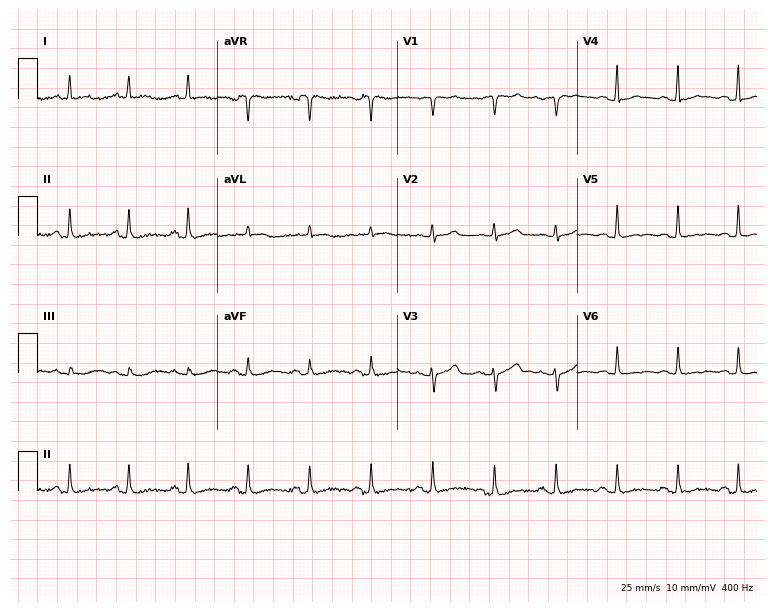
Resting 12-lead electrocardiogram. Patient: a female, 52 years old. Read as a normal ECG.